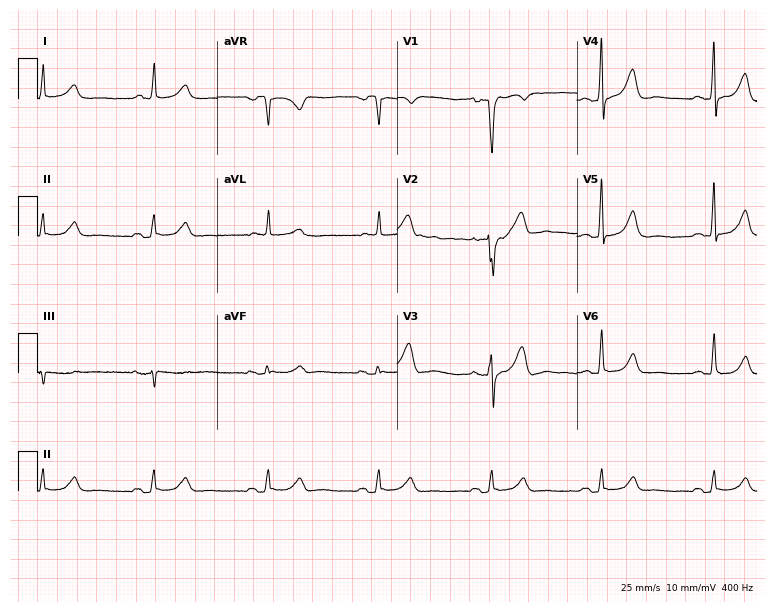
Standard 12-lead ECG recorded from a 63-year-old male patient. None of these six findings is recorded: first-degree AV block, right bundle branch block (RBBB), left bundle branch block (LBBB), sinus bradycardia, atrial fibrillation (AF), sinus tachycardia. Findings outside these six are not listed.